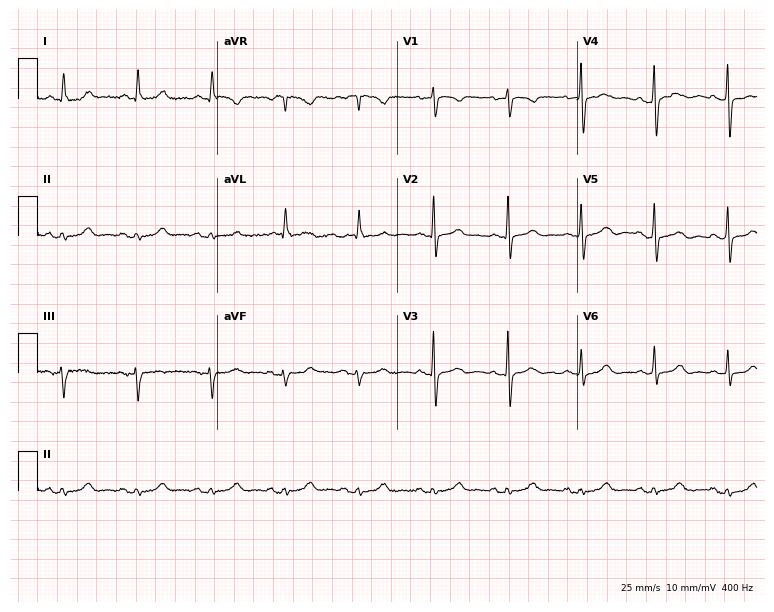
ECG (7.3-second recording at 400 Hz) — a female patient, 84 years old. Screened for six findings — first-degree AV block, right bundle branch block, left bundle branch block, sinus bradycardia, atrial fibrillation, sinus tachycardia — none is recorded.